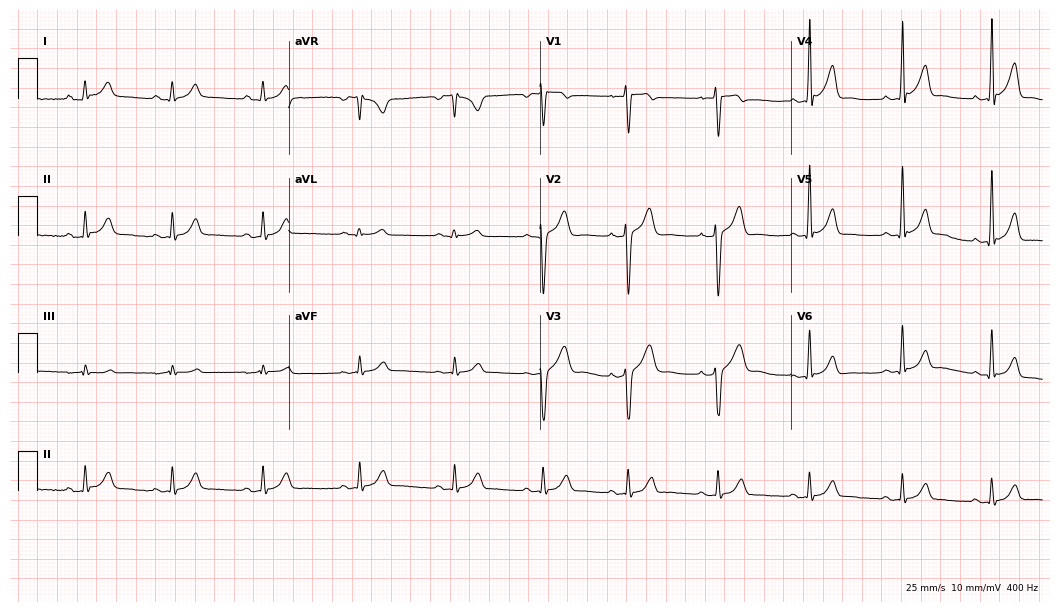
Standard 12-lead ECG recorded from a man, 25 years old. Read as a normal ECG.